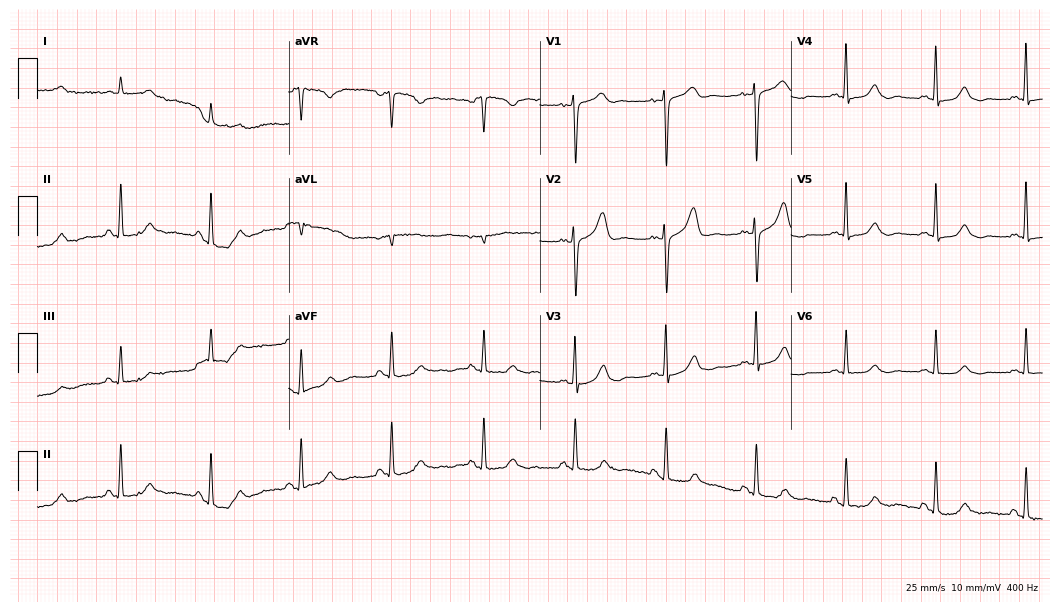
Electrocardiogram (10.2-second recording at 400 Hz), a female patient, 72 years old. Of the six screened findings (first-degree AV block, right bundle branch block, left bundle branch block, sinus bradycardia, atrial fibrillation, sinus tachycardia), none is recorded.